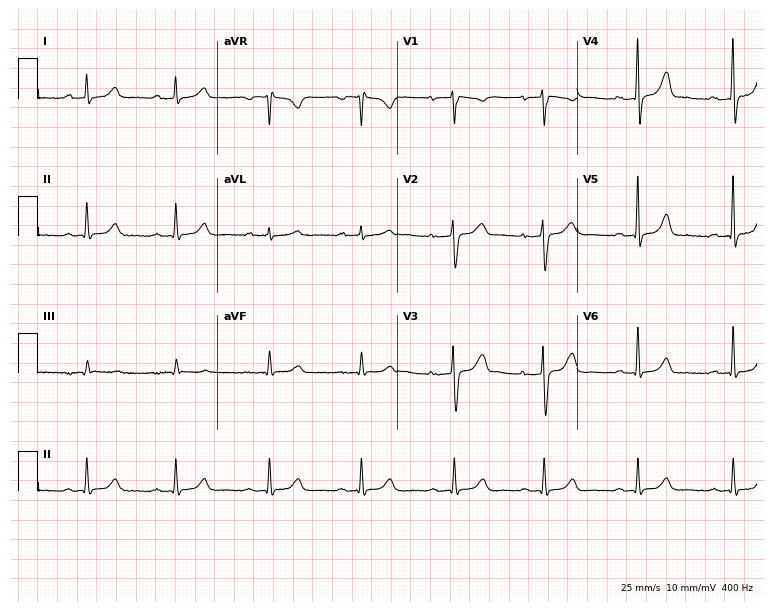
12-lead ECG from a 56-year-old female (7.3-second recording at 400 Hz). Recorded interpretation: within normal limits.